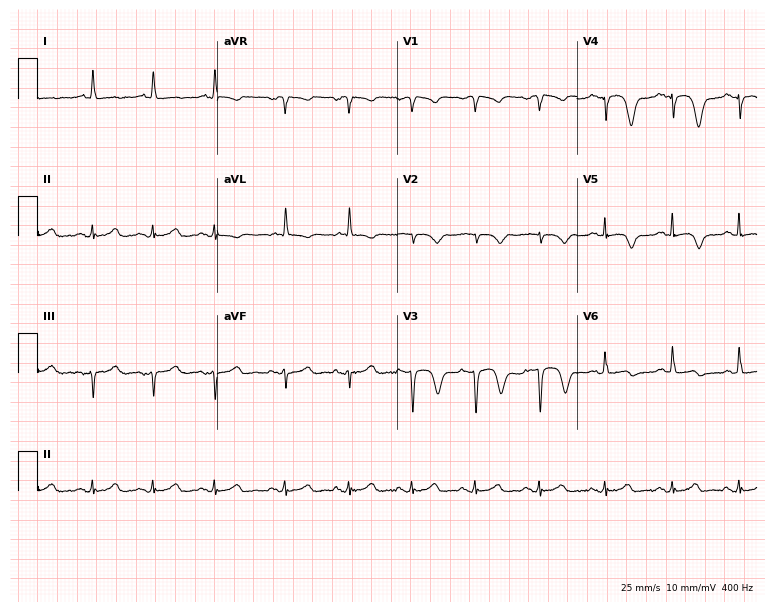
Resting 12-lead electrocardiogram (7.3-second recording at 400 Hz). Patient: a female, 70 years old. None of these six findings is recorded: first-degree AV block, right bundle branch block (RBBB), left bundle branch block (LBBB), sinus bradycardia, atrial fibrillation (AF), sinus tachycardia. Findings outside these six are not listed.